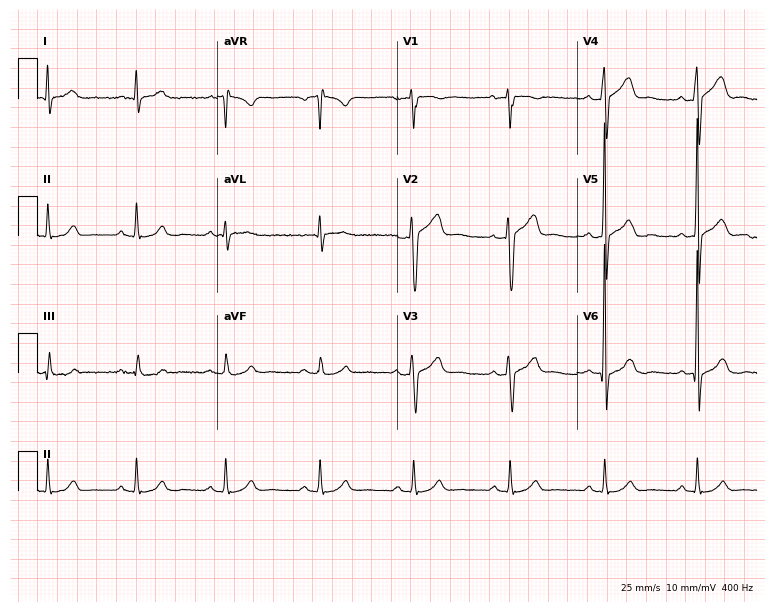
12-lead ECG from a 47-year-old man (7.3-second recording at 400 Hz). Recorded interpretation: within normal limits.